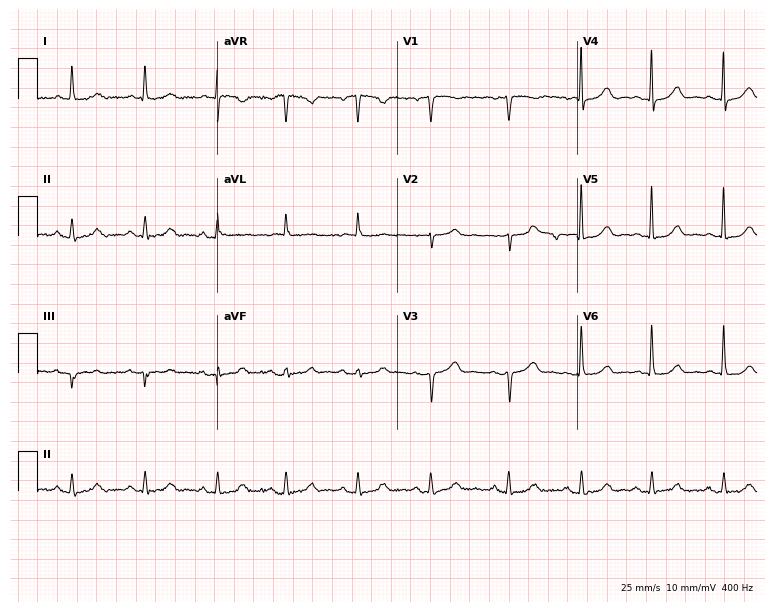
Electrocardiogram, a female, 83 years old. Overall reading on record: normal ECG.